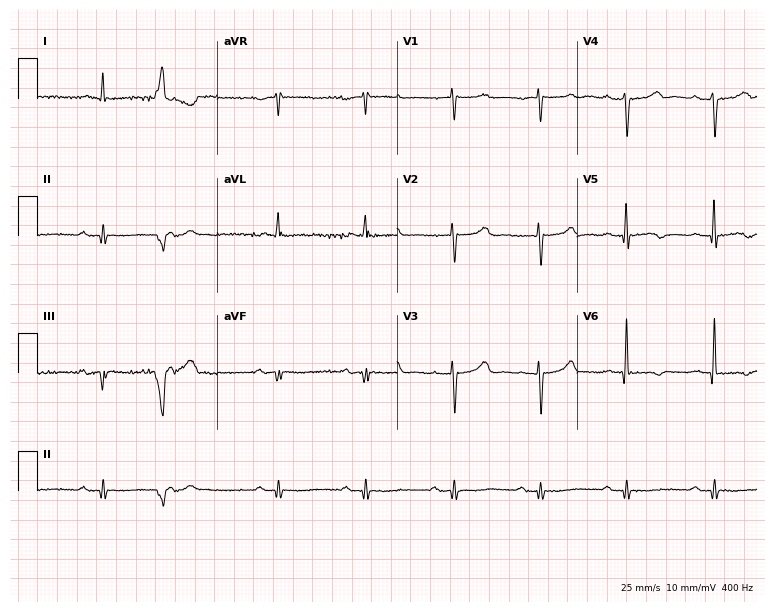
Standard 12-lead ECG recorded from a male patient, 79 years old. Read as a normal ECG.